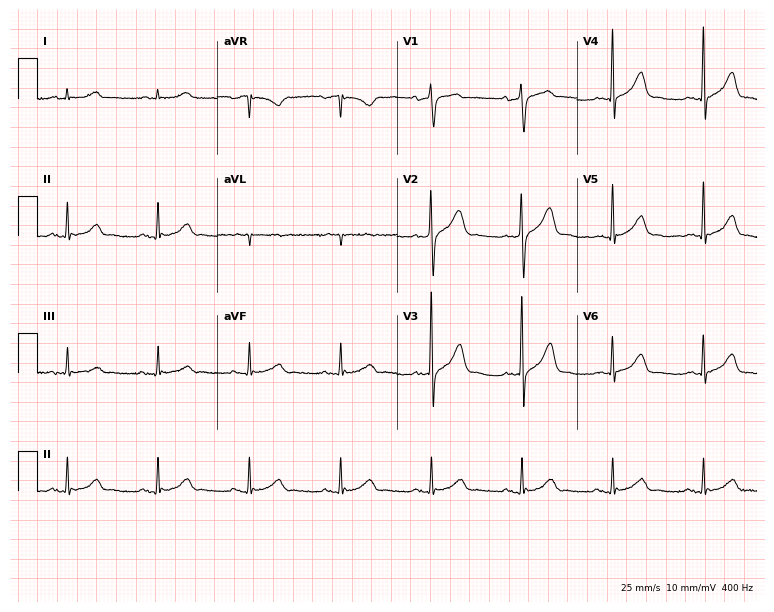
12-lead ECG from an 80-year-old male patient. Labelled as a normal ECG.